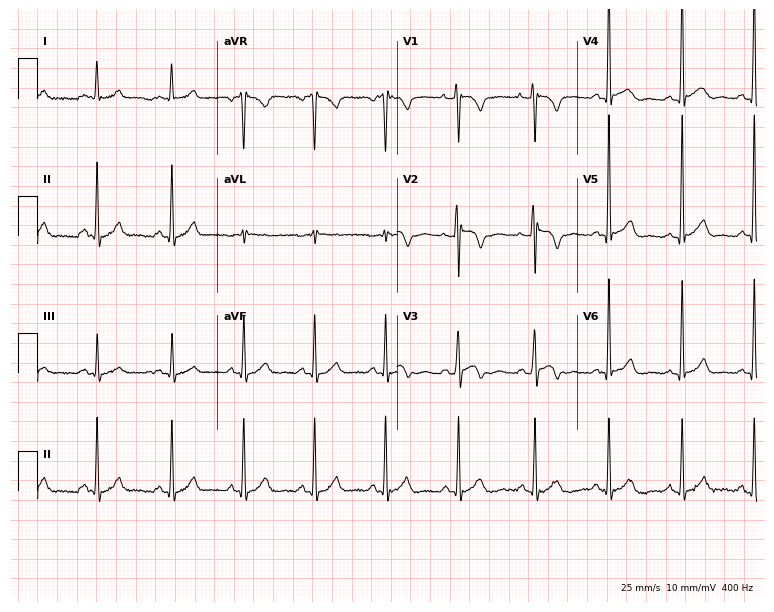
ECG — a 48-year-old male patient. Screened for six findings — first-degree AV block, right bundle branch block (RBBB), left bundle branch block (LBBB), sinus bradycardia, atrial fibrillation (AF), sinus tachycardia — none is recorded. Findings outside these six are not listed.